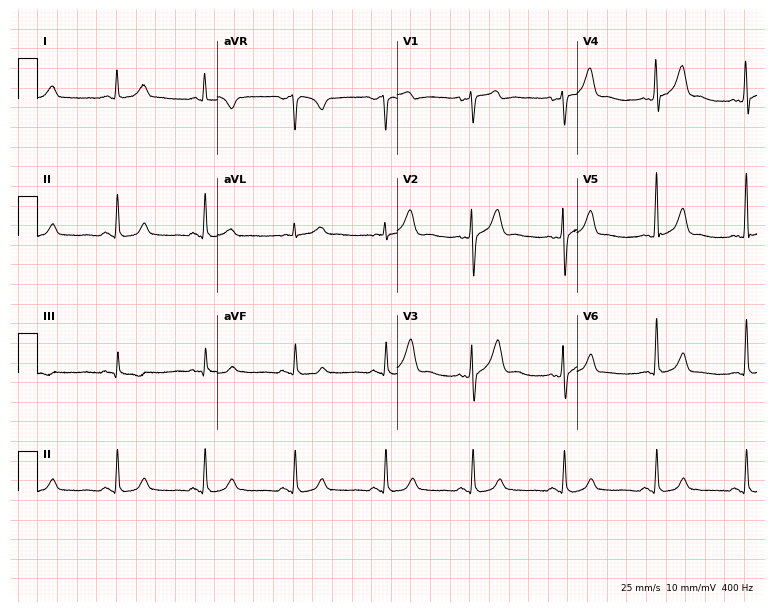
12-lead ECG from a 41-year-old man (7.3-second recording at 400 Hz). Recorded interpretation: within normal limits.